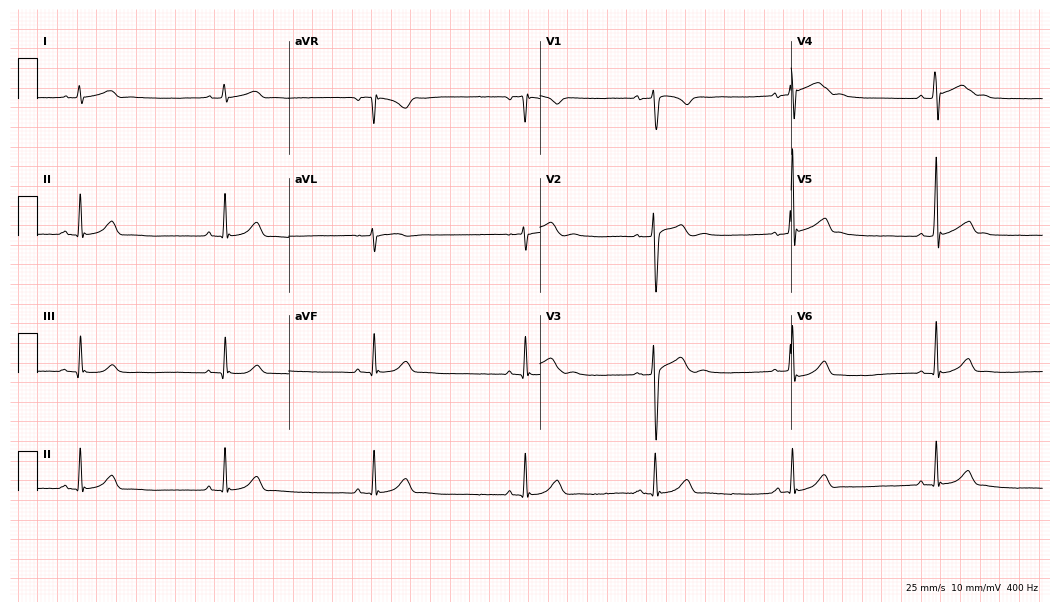
Resting 12-lead electrocardiogram (10.2-second recording at 400 Hz). Patient: a 17-year-old man. None of these six findings is recorded: first-degree AV block, right bundle branch block, left bundle branch block, sinus bradycardia, atrial fibrillation, sinus tachycardia.